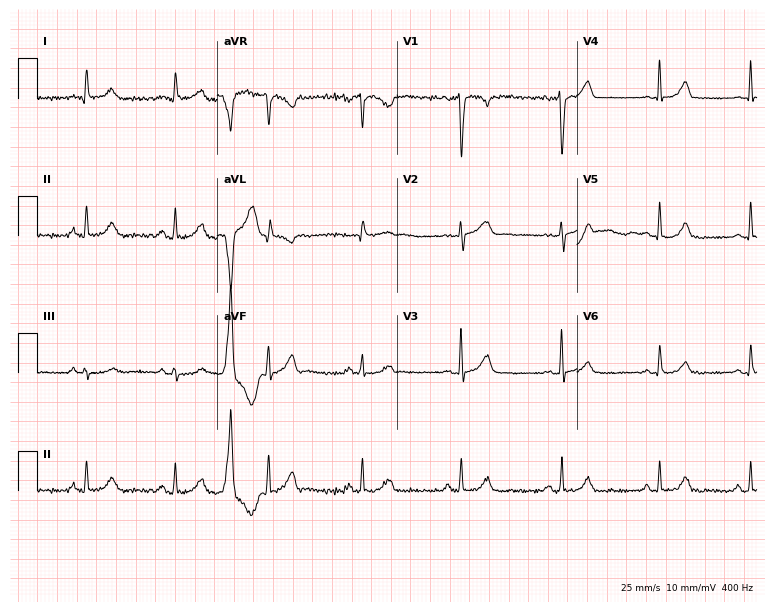
12-lead ECG from a 39-year-old female patient. No first-degree AV block, right bundle branch block, left bundle branch block, sinus bradycardia, atrial fibrillation or sinus tachycardia recorded for this tracing.